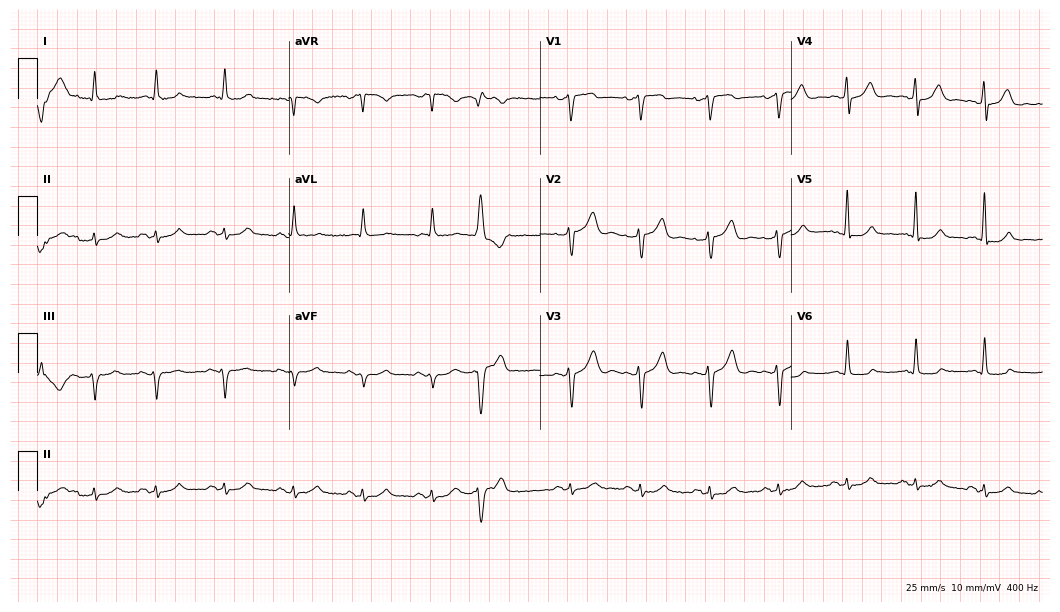
12-lead ECG from an 85-year-old man. Recorded interpretation: within normal limits.